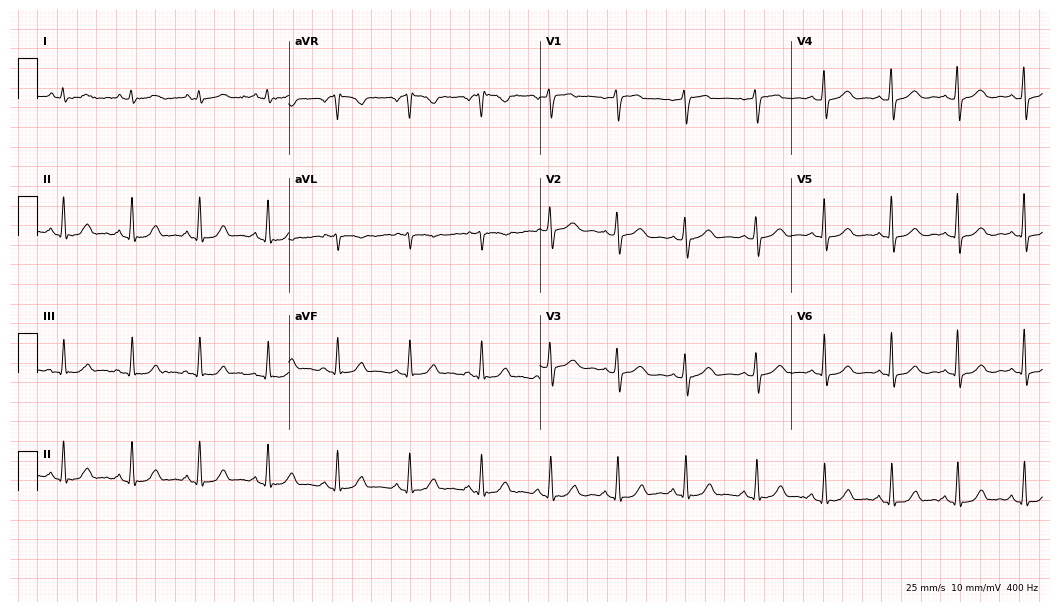
Standard 12-lead ECG recorded from a 51-year-old female patient. Read as a normal ECG.